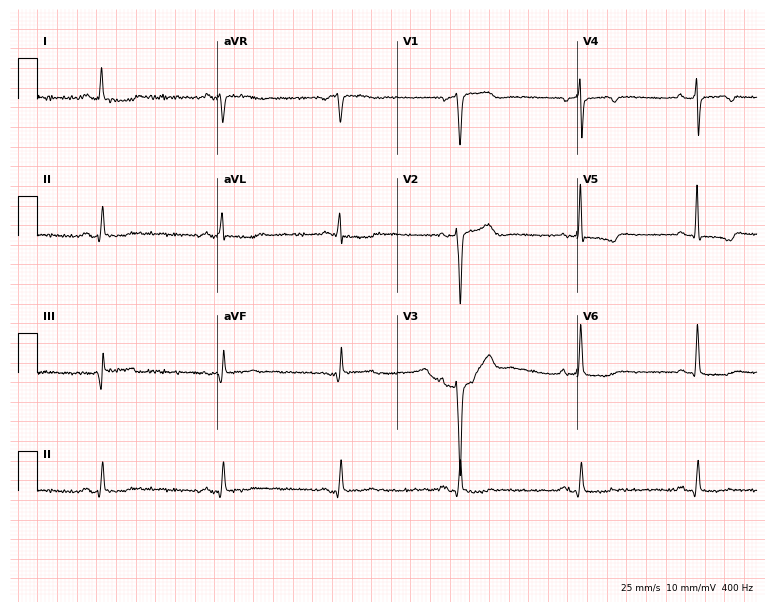
Electrocardiogram, a 60-year-old male patient. Of the six screened findings (first-degree AV block, right bundle branch block, left bundle branch block, sinus bradycardia, atrial fibrillation, sinus tachycardia), none is recorded.